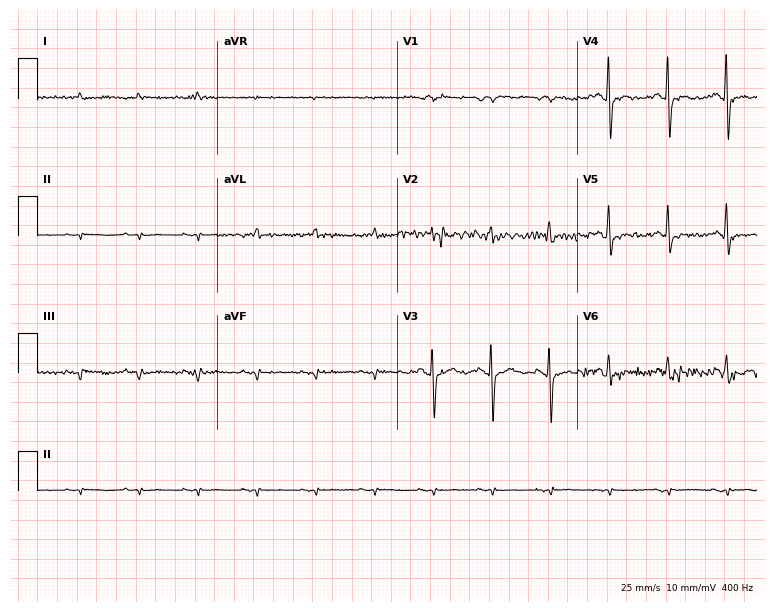
ECG — a woman, 84 years old. Screened for six findings — first-degree AV block, right bundle branch block (RBBB), left bundle branch block (LBBB), sinus bradycardia, atrial fibrillation (AF), sinus tachycardia — none is recorded. Other findings, if any, are not listed.